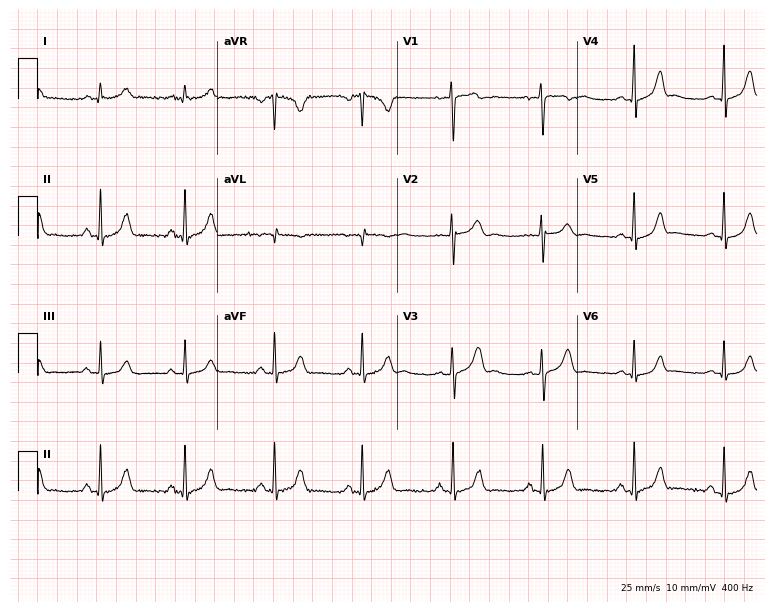
ECG (7.3-second recording at 400 Hz) — a woman, 24 years old. Labelled as a normal ECG.